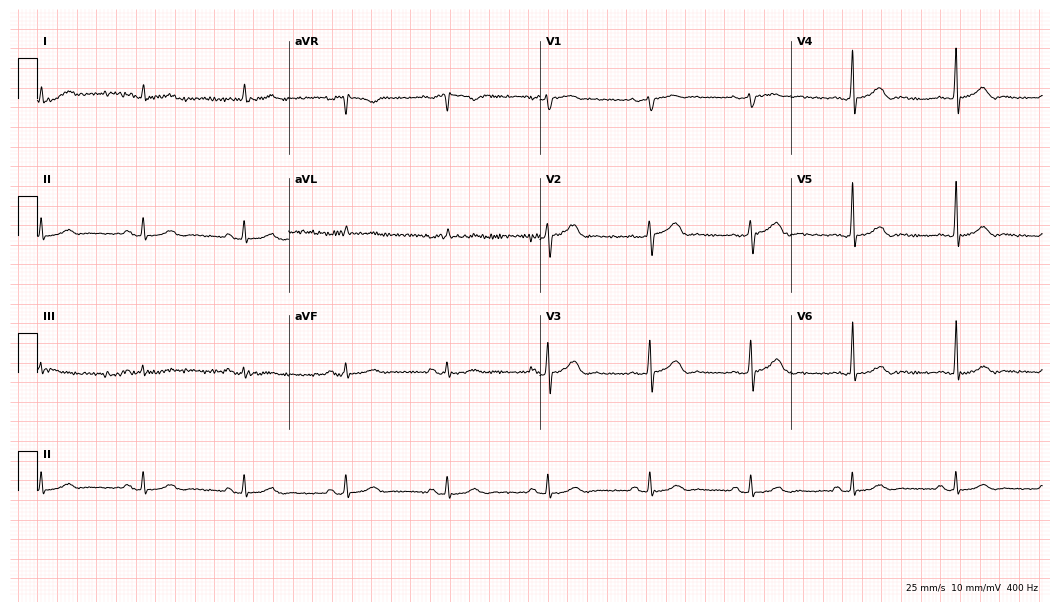
12-lead ECG from a 73-year-old male patient. Labelled as a normal ECG.